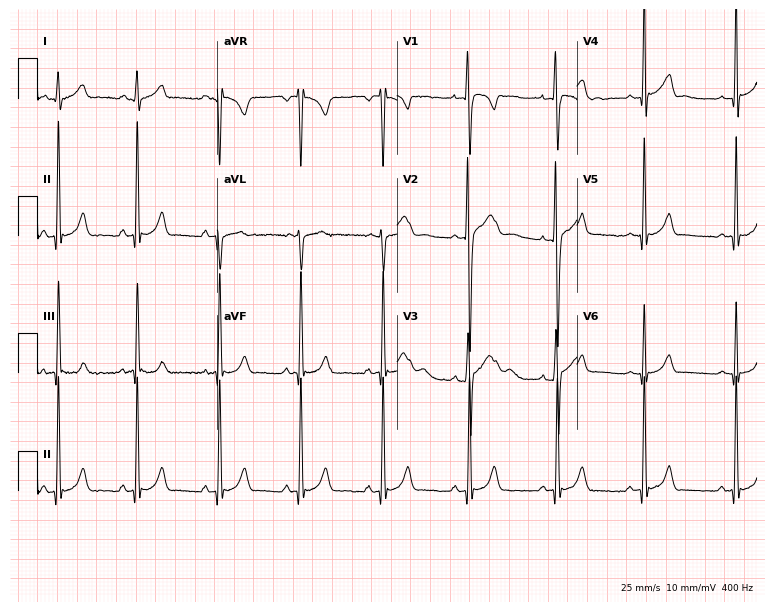
ECG — a 19-year-old male. Labelled as a normal ECG.